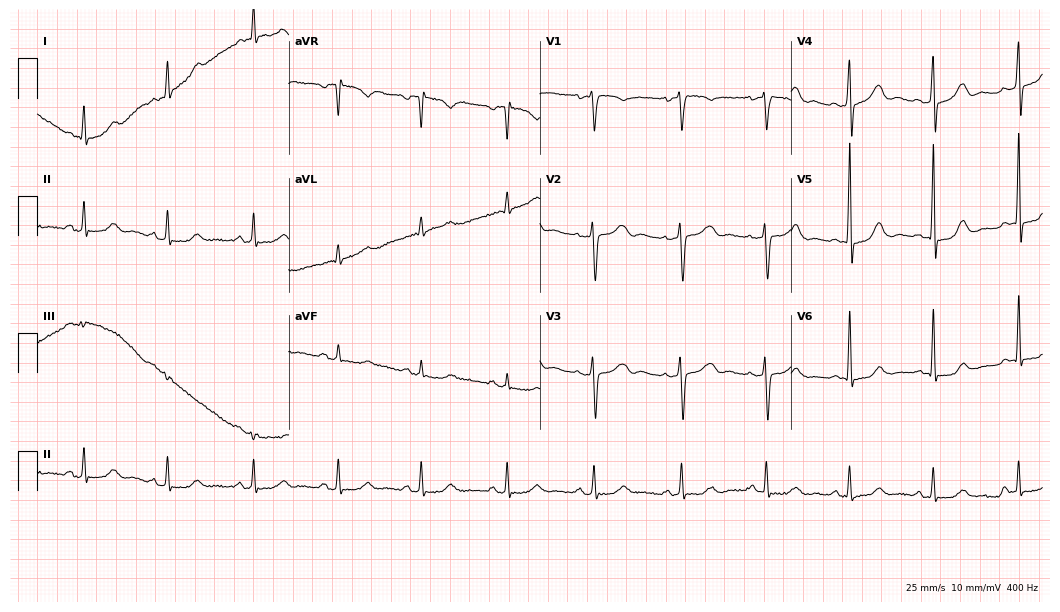
12-lead ECG (10.2-second recording at 400 Hz) from a 63-year-old female. Screened for six findings — first-degree AV block, right bundle branch block, left bundle branch block, sinus bradycardia, atrial fibrillation, sinus tachycardia — none is recorded. Only these six findings were labelled.